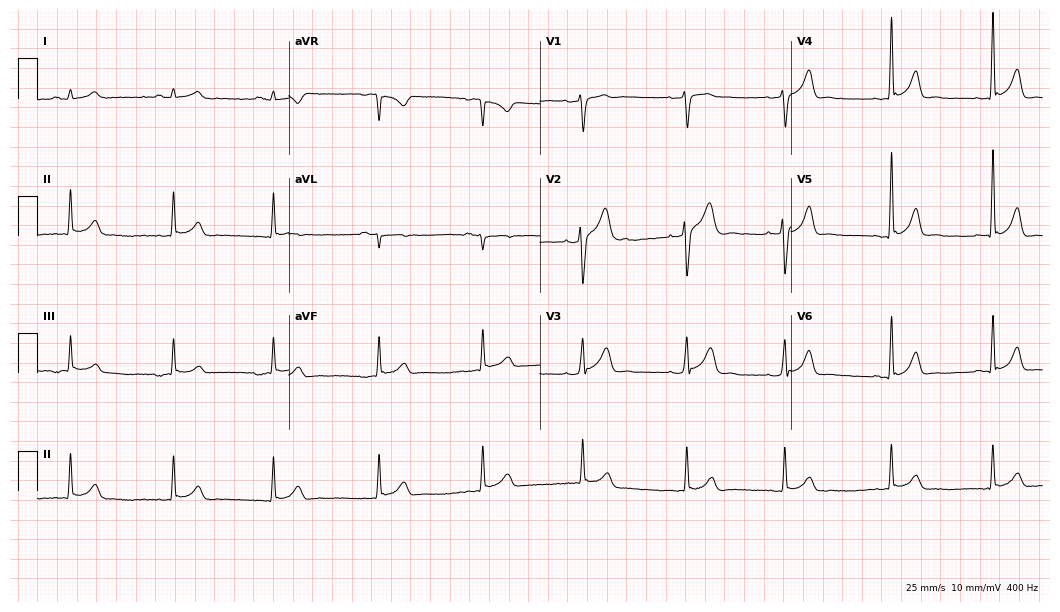
12-lead ECG from a male patient, 33 years old. Labelled as a normal ECG.